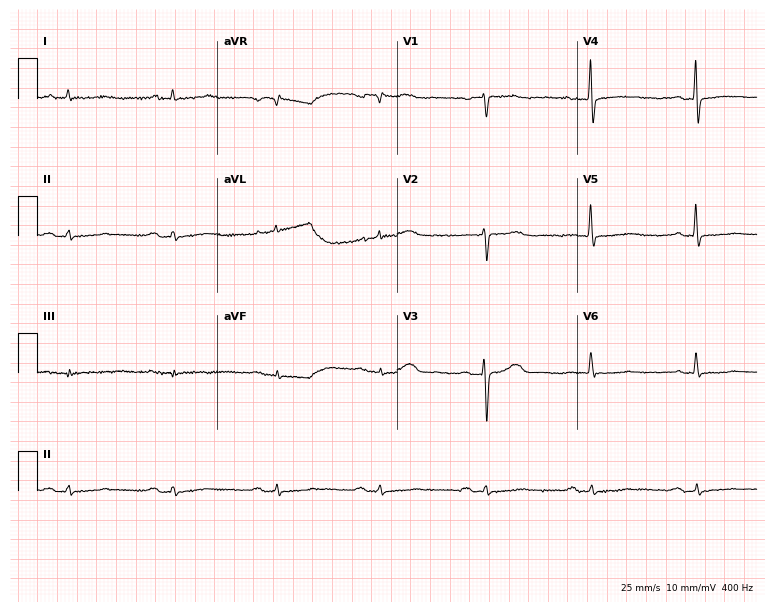
Resting 12-lead electrocardiogram. Patient: a male, 69 years old. None of these six findings is recorded: first-degree AV block, right bundle branch block, left bundle branch block, sinus bradycardia, atrial fibrillation, sinus tachycardia.